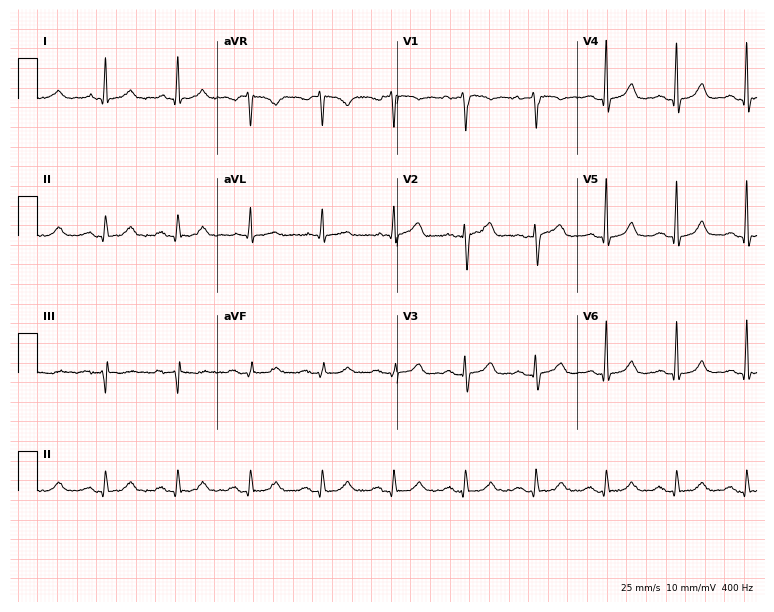
ECG — a male patient, 62 years old. Labelled as a normal ECG.